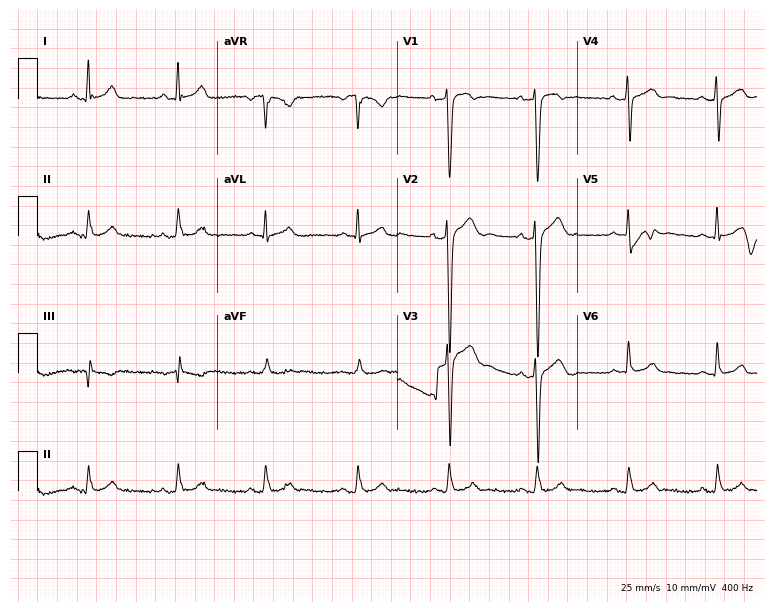
12-lead ECG from a male, 26 years old. No first-degree AV block, right bundle branch block (RBBB), left bundle branch block (LBBB), sinus bradycardia, atrial fibrillation (AF) or sinus tachycardia recorded for this tracing.